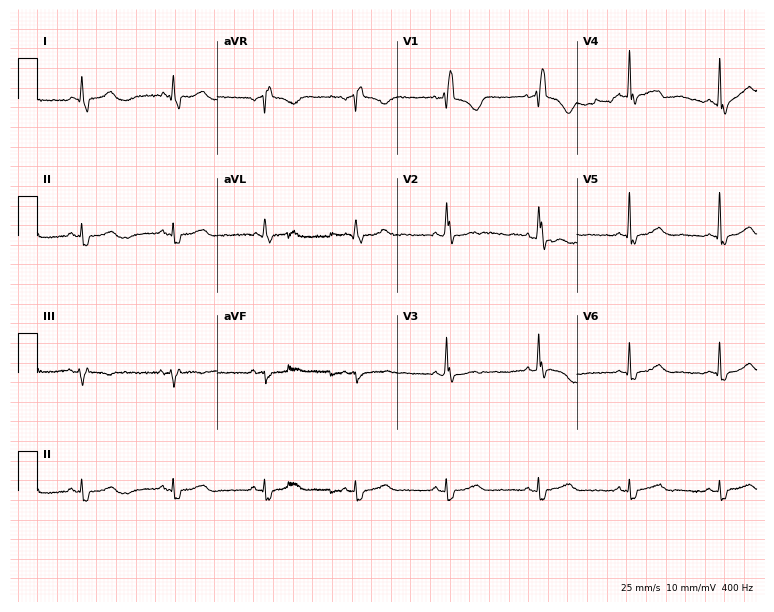
Electrocardiogram, a woman, 44 years old. Interpretation includes right bundle branch block.